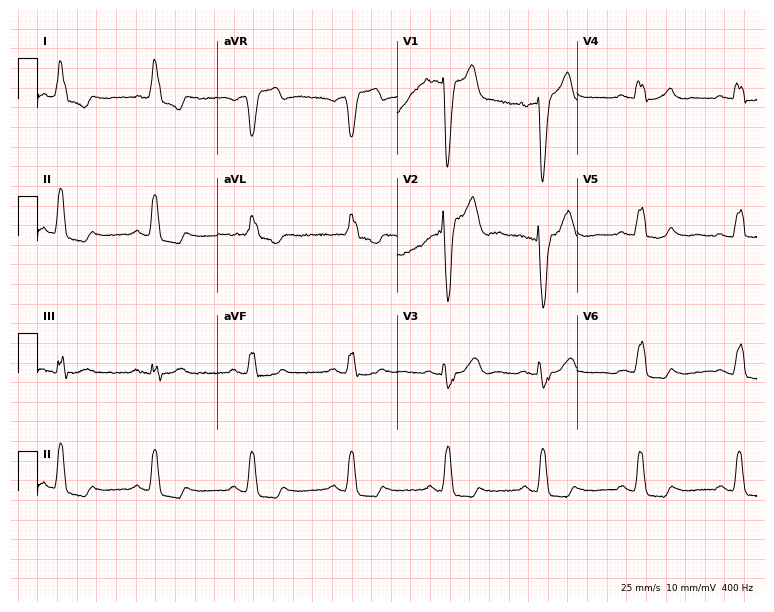
Resting 12-lead electrocardiogram. Patient: a female, 84 years old. None of these six findings is recorded: first-degree AV block, right bundle branch block, left bundle branch block, sinus bradycardia, atrial fibrillation, sinus tachycardia. Findings outside these six are not listed.